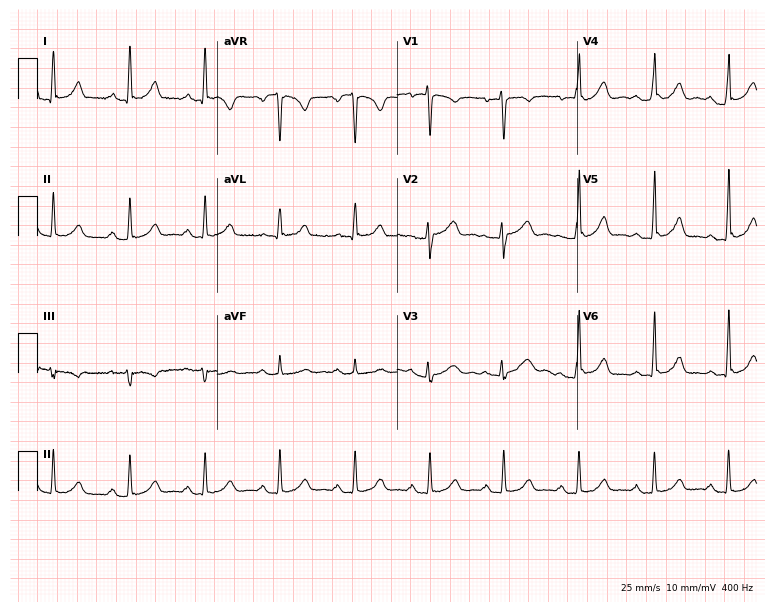
Resting 12-lead electrocardiogram (7.3-second recording at 400 Hz). Patient: a female, 32 years old. Read as a normal ECG.